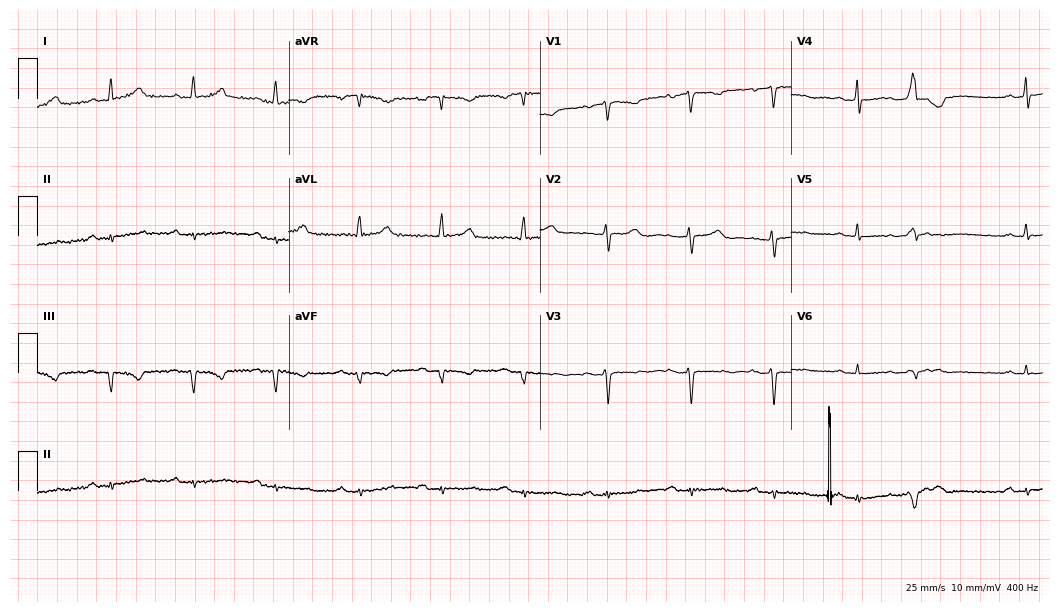
Resting 12-lead electrocardiogram (10.2-second recording at 400 Hz). Patient: a woman, 45 years old. None of these six findings is recorded: first-degree AV block, right bundle branch block, left bundle branch block, sinus bradycardia, atrial fibrillation, sinus tachycardia.